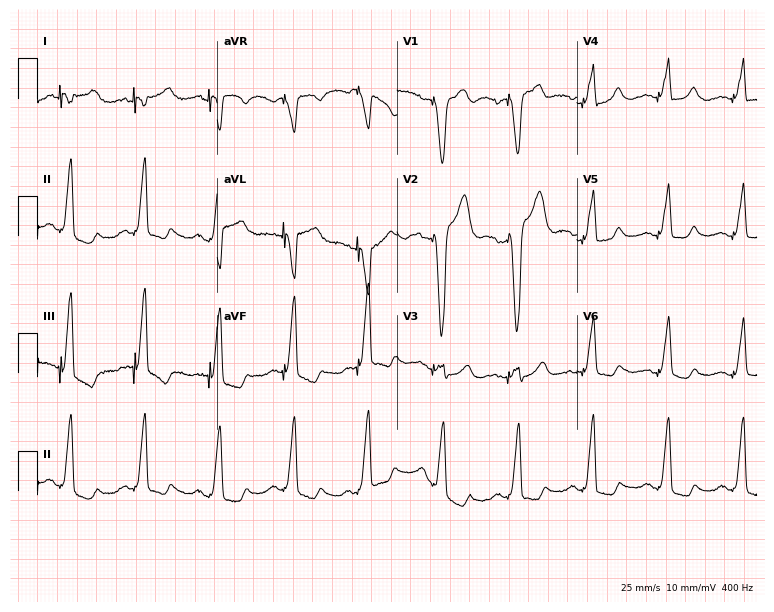
Electrocardiogram (7.3-second recording at 400 Hz), a female, 62 years old. Of the six screened findings (first-degree AV block, right bundle branch block, left bundle branch block, sinus bradycardia, atrial fibrillation, sinus tachycardia), none is recorded. Findings outside these six are not listed.